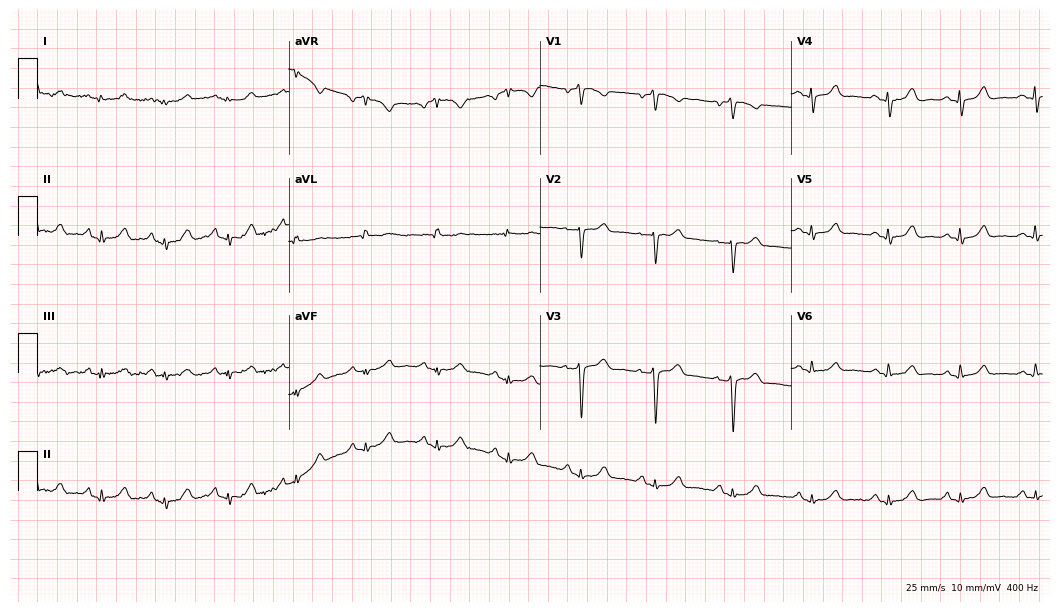
12-lead ECG from a female, 58 years old (10.2-second recording at 400 Hz). No first-degree AV block, right bundle branch block (RBBB), left bundle branch block (LBBB), sinus bradycardia, atrial fibrillation (AF) or sinus tachycardia recorded for this tracing.